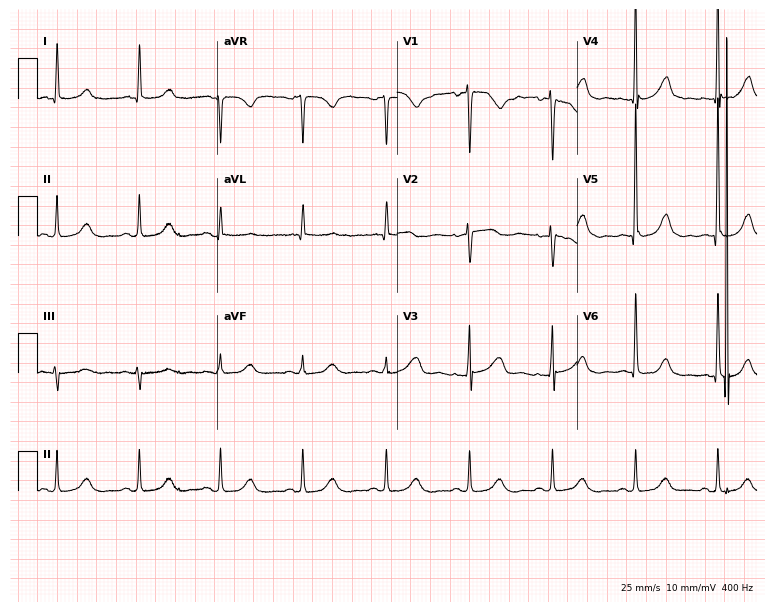
ECG (7.3-second recording at 400 Hz) — a woman, 68 years old. Screened for six findings — first-degree AV block, right bundle branch block, left bundle branch block, sinus bradycardia, atrial fibrillation, sinus tachycardia — none is recorded.